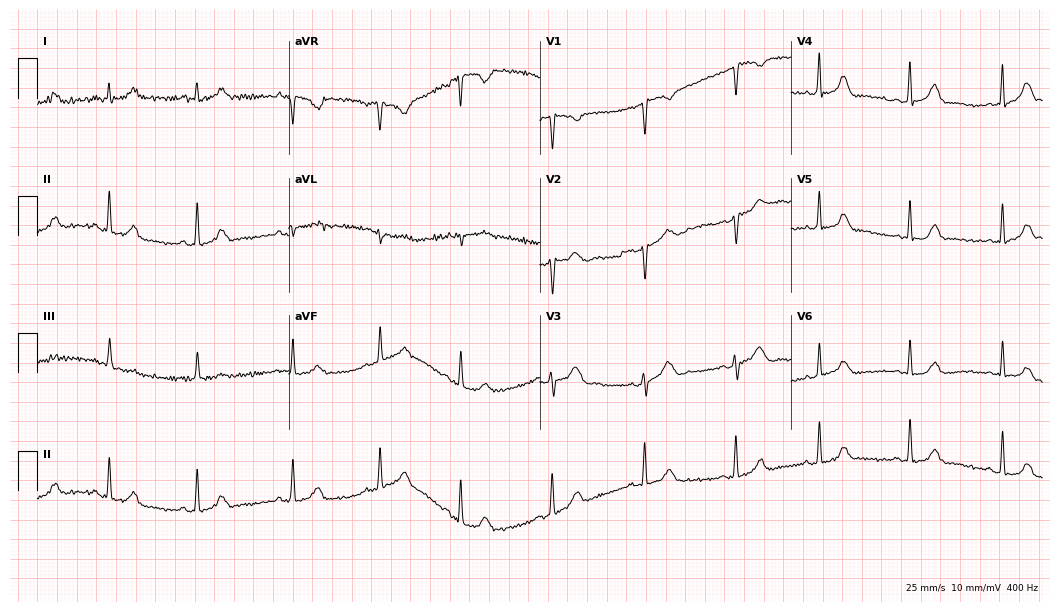
ECG (10.2-second recording at 400 Hz) — a 25-year-old female patient. Labelled as a normal ECG.